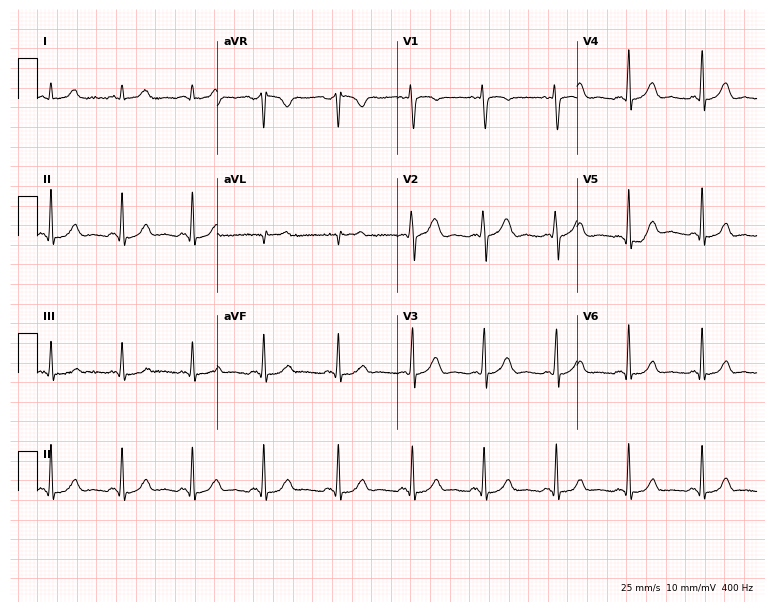
Standard 12-lead ECG recorded from a female, 30 years old. Read as a normal ECG.